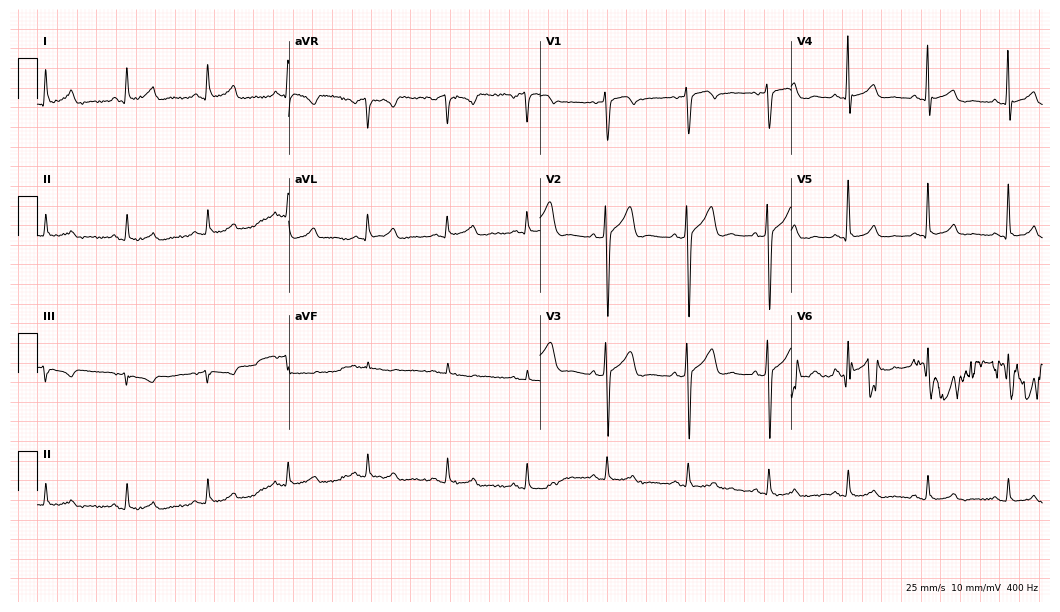
Standard 12-lead ECG recorded from a 73-year-old male (10.2-second recording at 400 Hz). Read as a normal ECG.